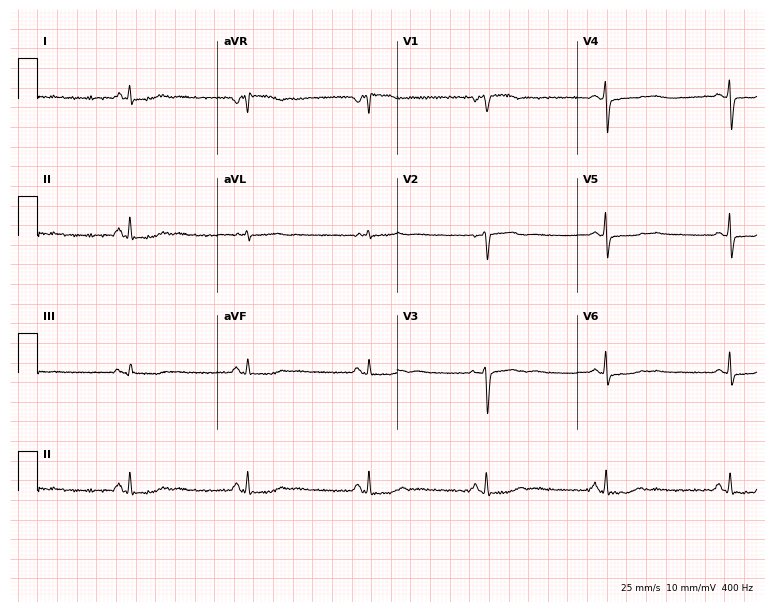
12-lead ECG from a 62-year-old female. Screened for six findings — first-degree AV block, right bundle branch block (RBBB), left bundle branch block (LBBB), sinus bradycardia, atrial fibrillation (AF), sinus tachycardia — none is recorded. Findings outside these six are not listed.